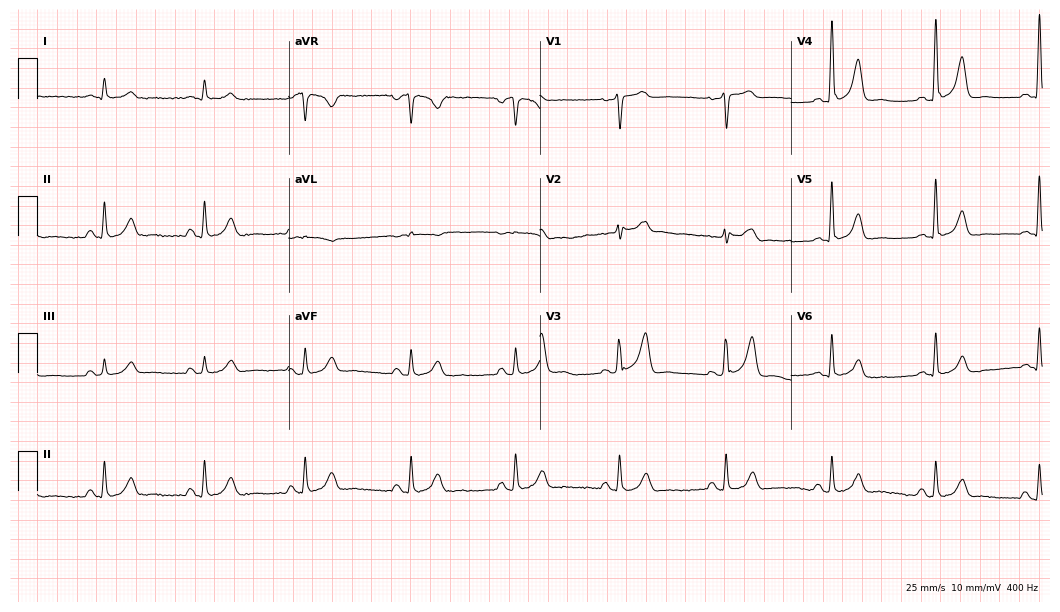
12-lead ECG from a man, 64 years old. Labelled as a normal ECG.